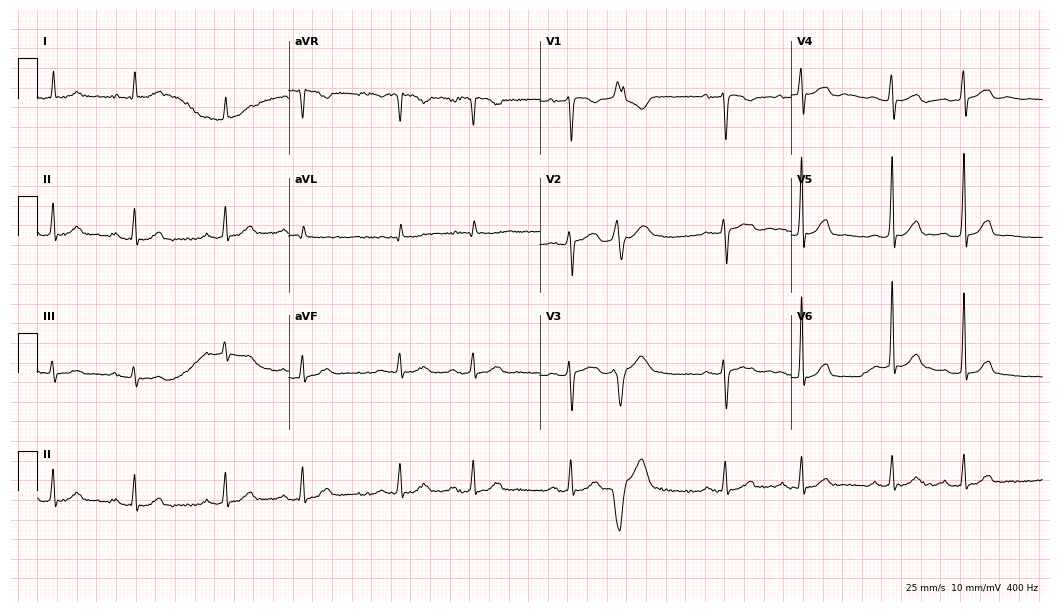
ECG (10.2-second recording at 400 Hz) — a 78-year-old woman. Labelled as a normal ECG.